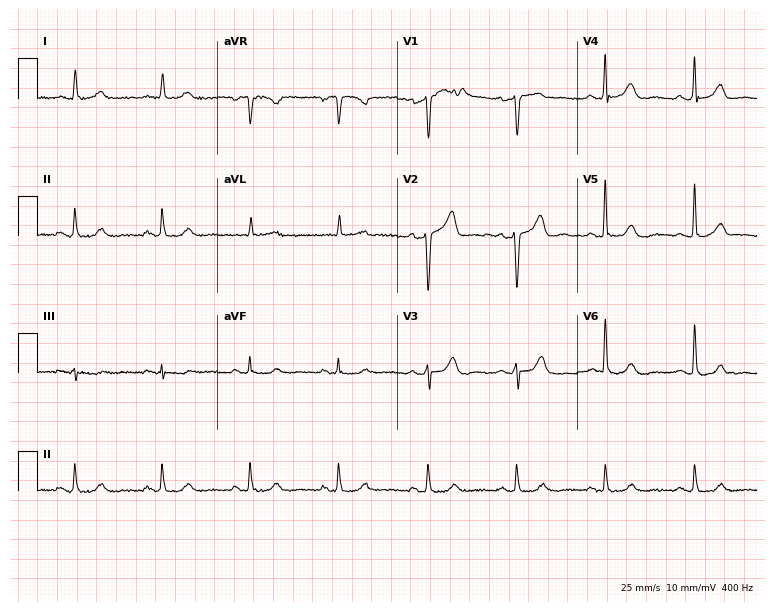
Resting 12-lead electrocardiogram (7.3-second recording at 400 Hz). Patient: an 80-year-old male. Read as a normal ECG.